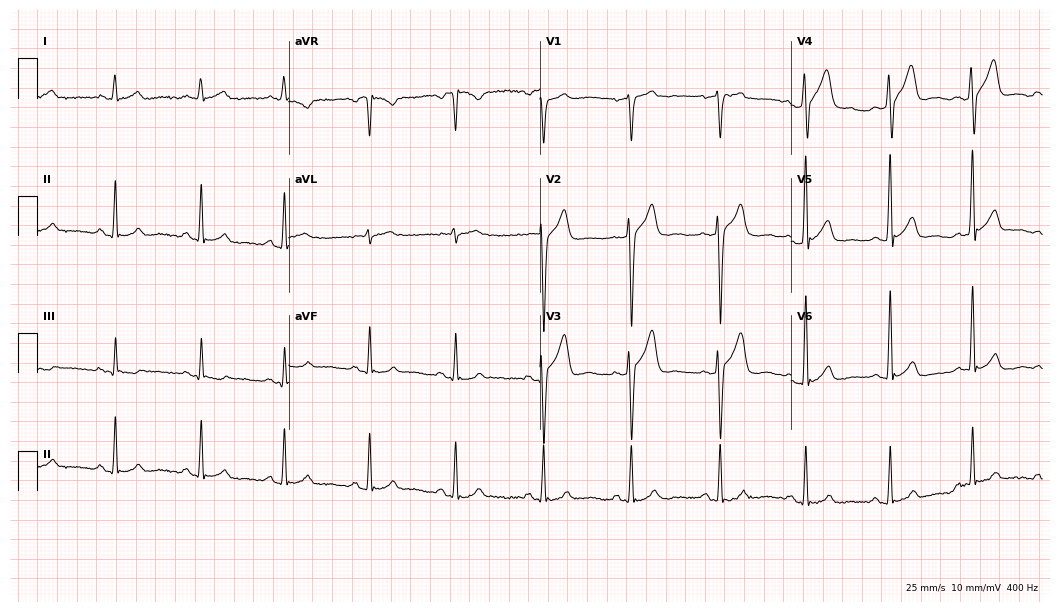
Electrocardiogram (10.2-second recording at 400 Hz), a male, 61 years old. Overall reading on record: normal ECG.